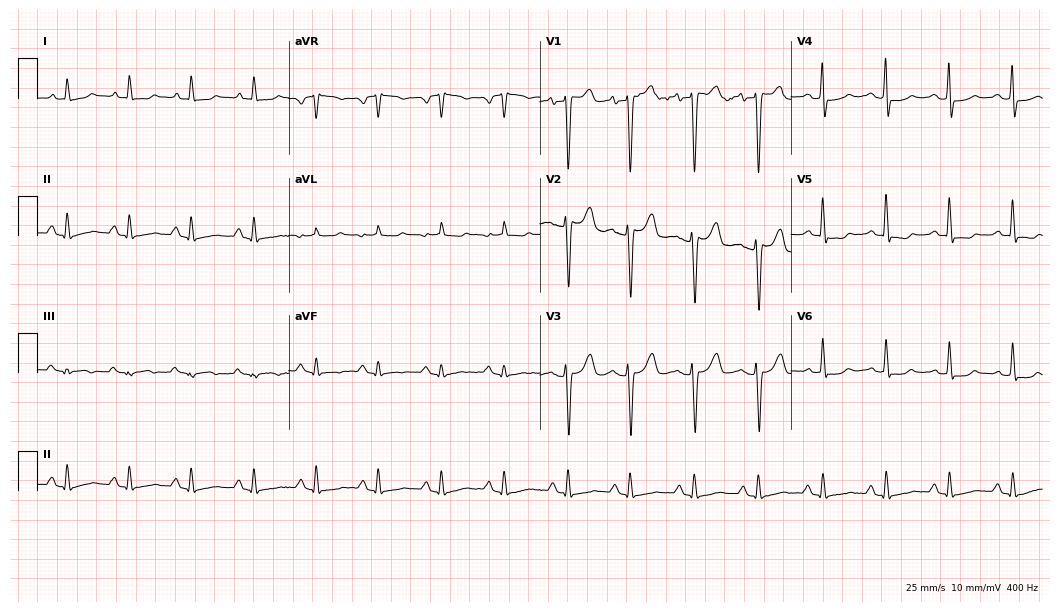
Resting 12-lead electrocardiogram. Patient: a 67-year-old female. None of these six findings is recorded: first-degree AV block, right bundle branch block (RBBB), left bundle branch block (LBBB), sinus bradycardia, atrial fibrillation (AF), sinus tachycardia. Other findings, if any, are not listed.